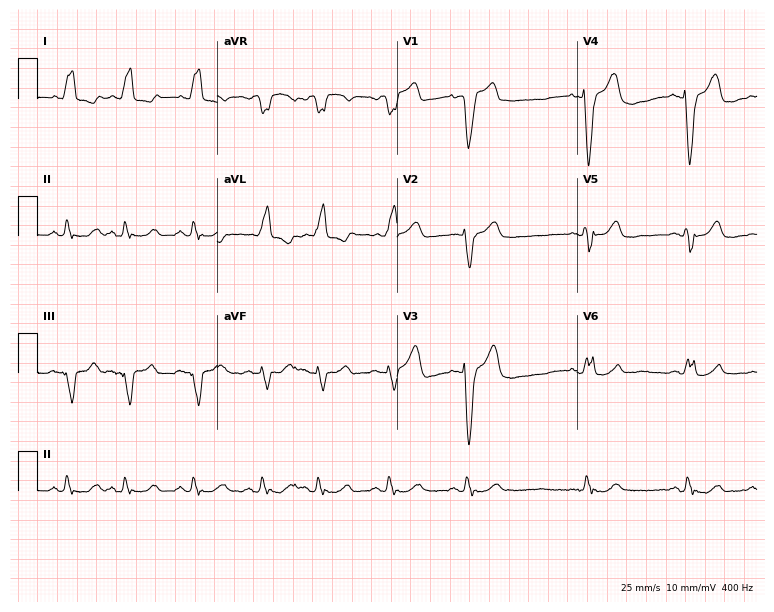
12-lead ECG from a 74-year-old female patient. Findings include left bundle branch block.